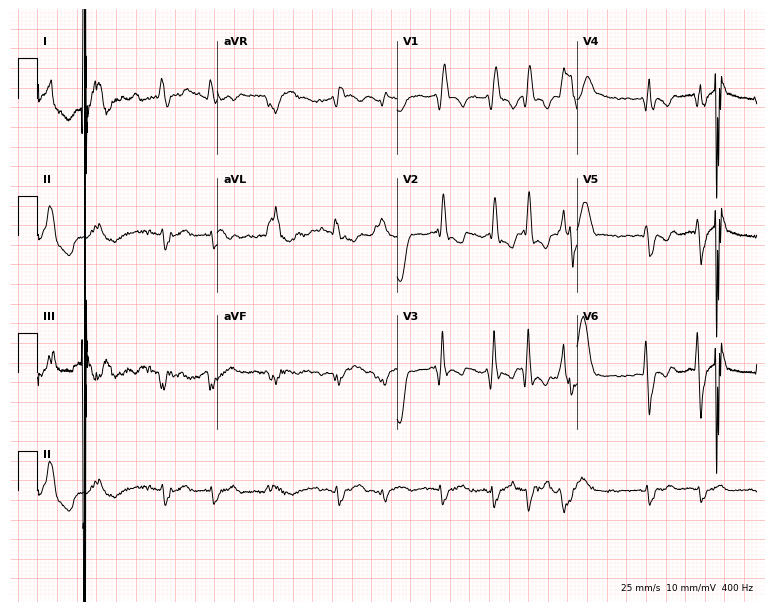
12-lead ECG from a 77-year-old male. Findings include atrial fibrillation.